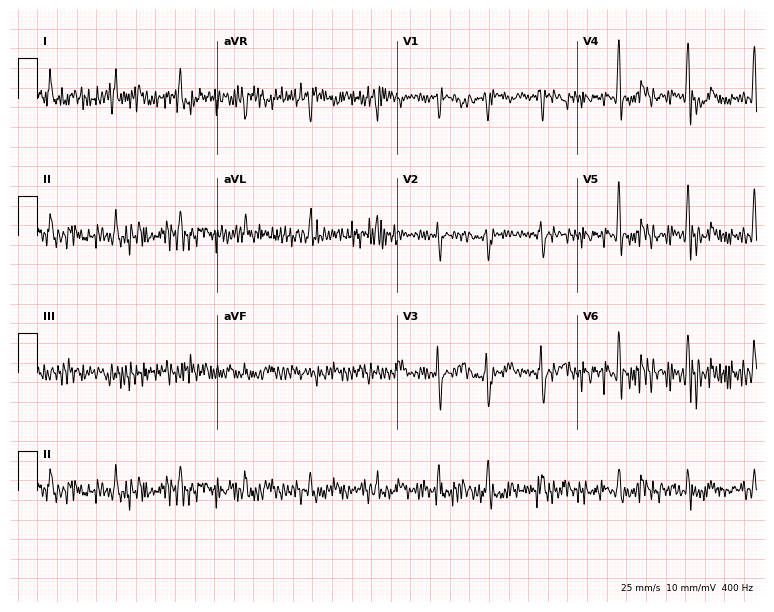
Electrocardiogram (7.3-second recording at 400 Hz), a woman, 72 years old. Of the six screened findings (first-degree AV block, right bundle branch block (RBBB), left bundle branch block (LBBB), sinus bradycardia, atrial fibrillation (AF), sinus tachycardia), none is recorded.